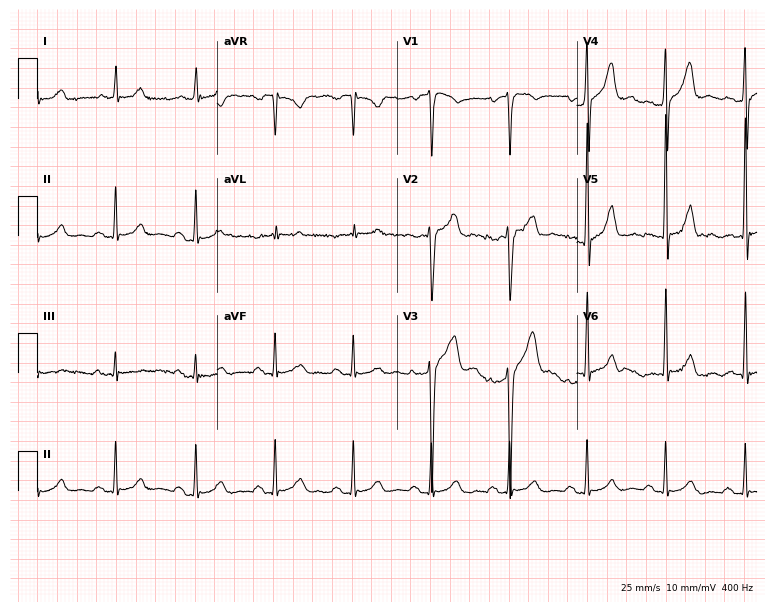
12-lead ECG from a male patient, 52 years old. Labelled as a normal ECG.